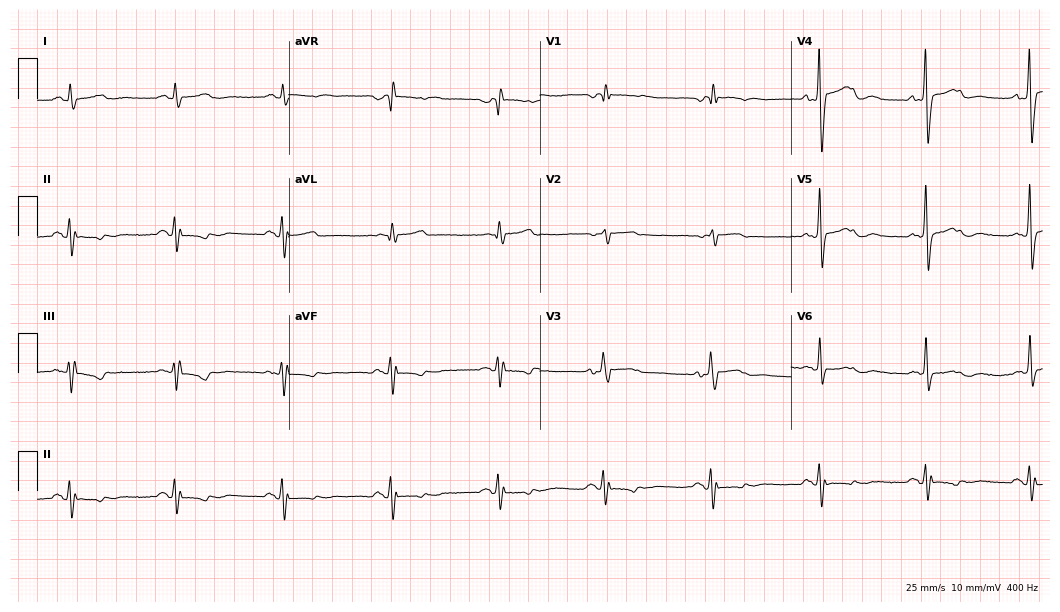
ECG (10.2-second recording at 400 Hz) — a 66-year-old man. Screened for six findings — first-degree AV block, right bundle branch block, left bundle branch block, sinus bradycardia, atrial fibrillation, sinus tachycardia — none is recorded. Other findings, if any, are not listed.